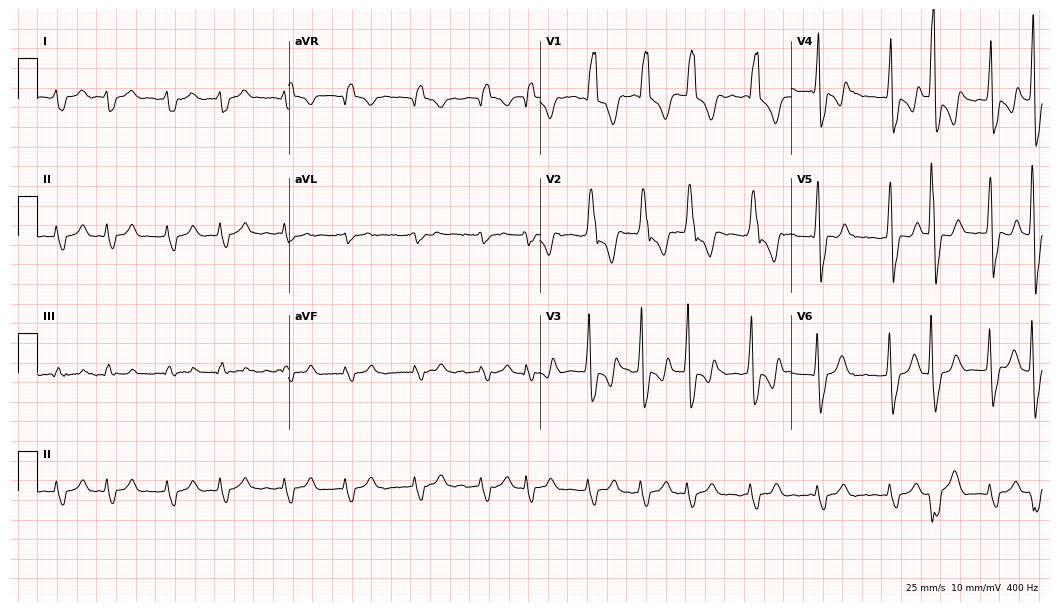
Electrocardiogram (10.2-second recording at 400 Hz), a 60-year-old male patient. Interpretation includes right bundle branch block (RBBB), atrial fibrillation (AF).